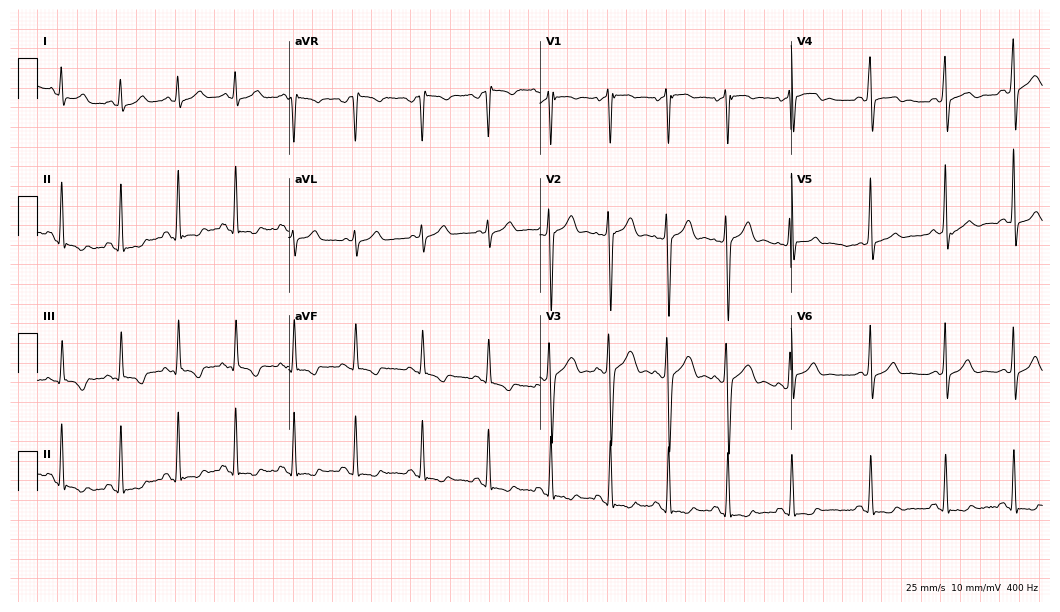
Standard 12-lead ECG recorded from a 24-year-old man. Read as a normal ECG.